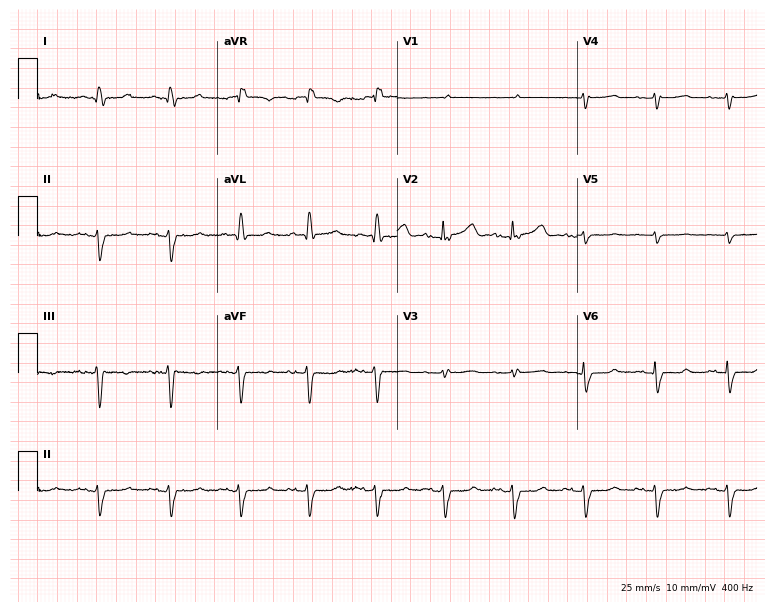
Resting 12-lead electrocardiogram (7.3-second recording at 400 Hz). Patient: an 82-year-old female. None of these six findings is recorded: first-degree AV block, right bundle branch block, left bundle branch block, sinus bradycardia, atrial fibrillation, sinus tachycardia. Findings outside these six are not listed.